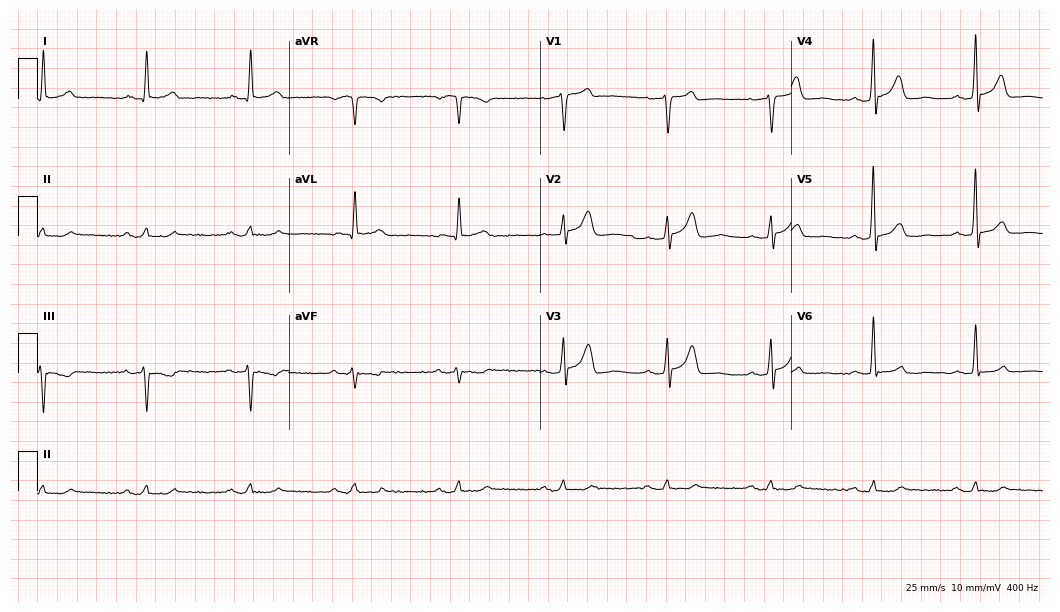
Standard 12-lead ECG recorded from a 73-year-old man (10.2-second recording at 400 Hz). None of these six findings is recorded: first-degree AV block, right bundle branch block, left bundle branch block, sinus bradycardia, atrial fibrillation, sinus tachycardia.